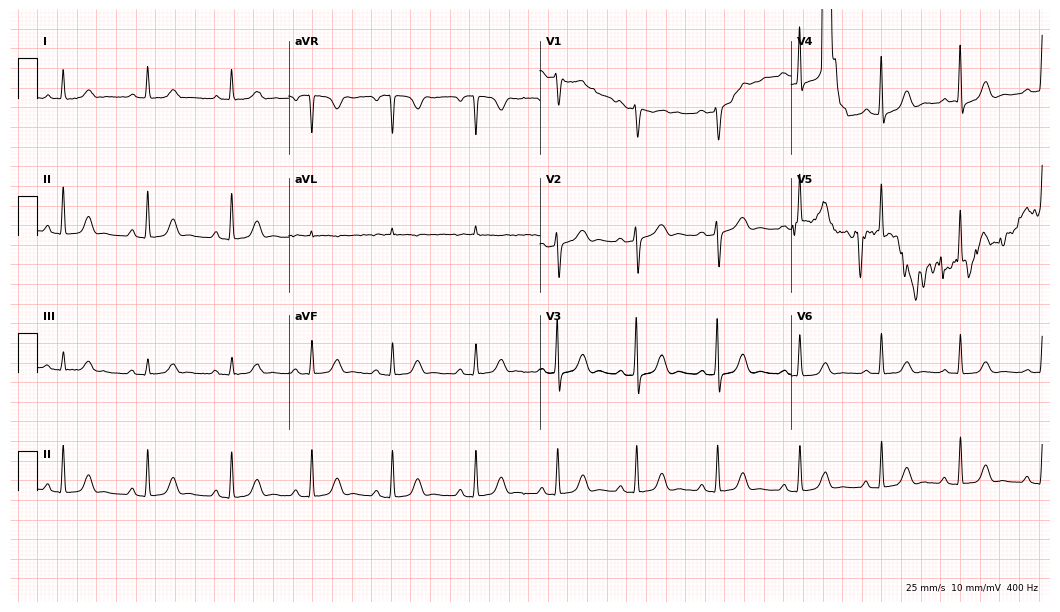
Standard 12-lead ECG recorded from a woman, 59 years old. Read as a normal ECG.